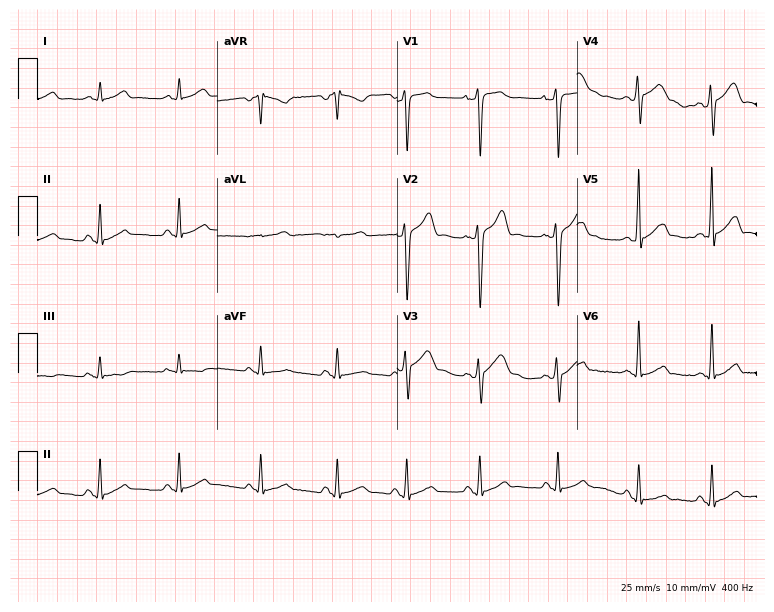
ECG (7.3-second recording at 400 Hz) — a male, 24 years old. Screened for six findings — first-degree AV block, right bundle branch block, left bundle branch block, sinus bradycardia, atrial fibrillation, sinus tachycardia — none is recorded.